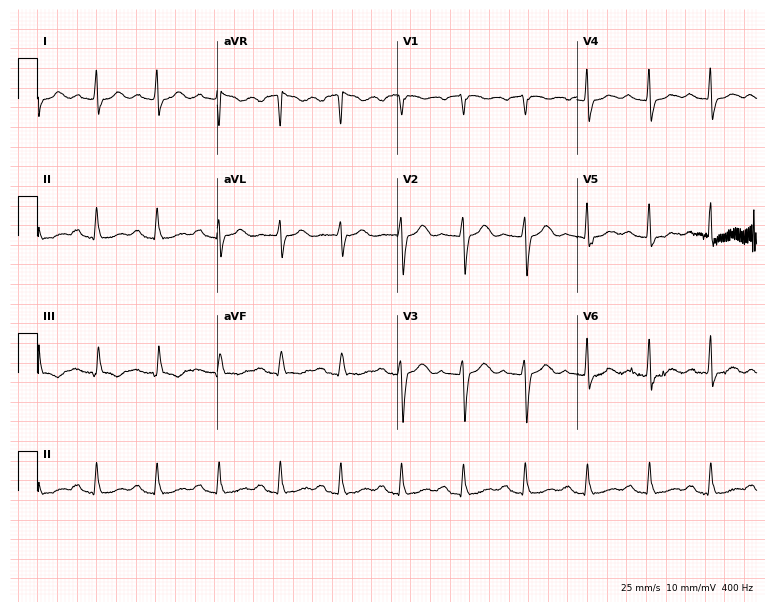
Standard 12-lead ECG recorded from a 70-year-old female patient (7.3-second recording at 400 Hz). None of these six findings is recorded: first-degree AV block, right bundle branch block, left bundle branch block, sinus bradycardia, atrial fibrillation, sinus tachycardia. Only these six findings were labelled.